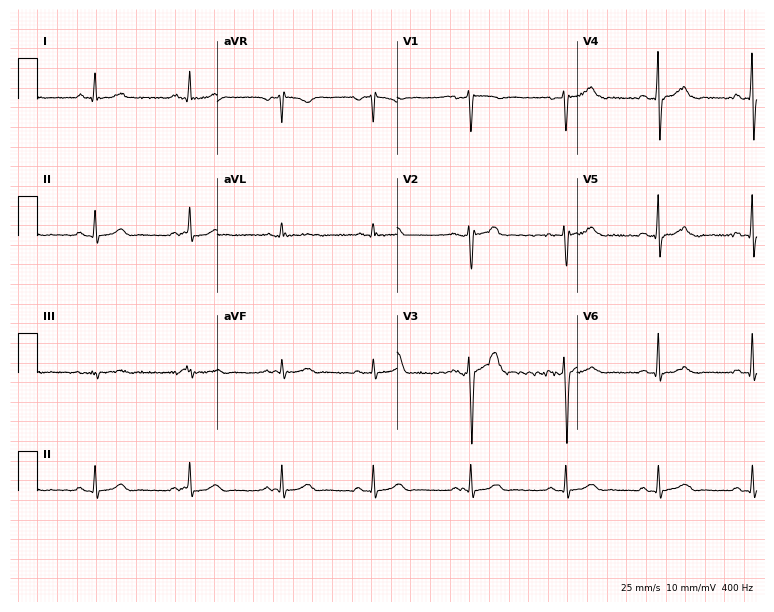
Standard 12-lead ECG recorded from a 33-year-old male patient. Read as a normal ECG.